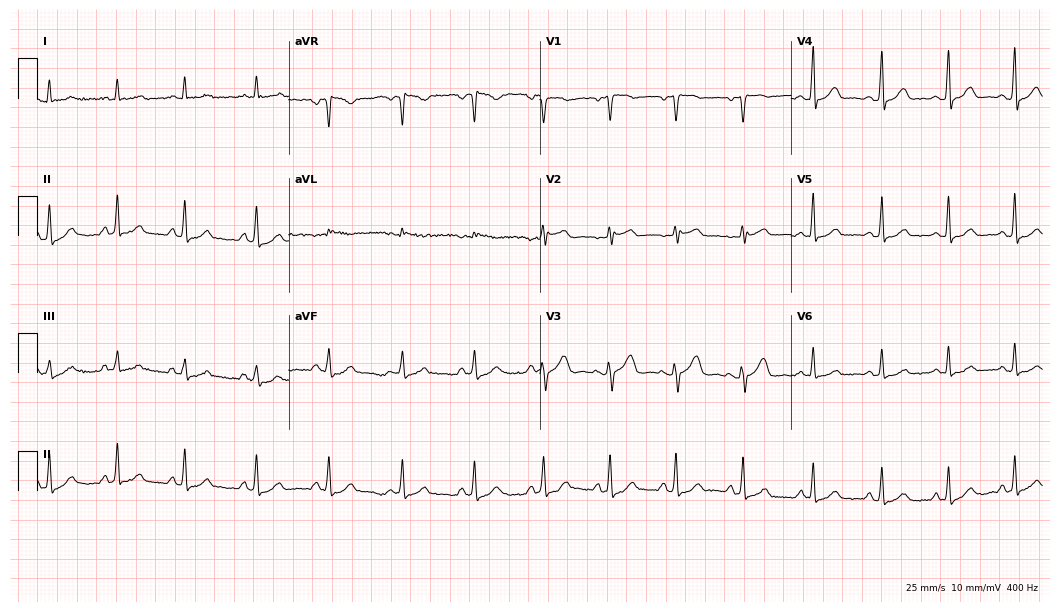
12-lead ECG (10.2-second recording at 400 Hz) from a 46-year-old female. Labelled as a normal ECG.